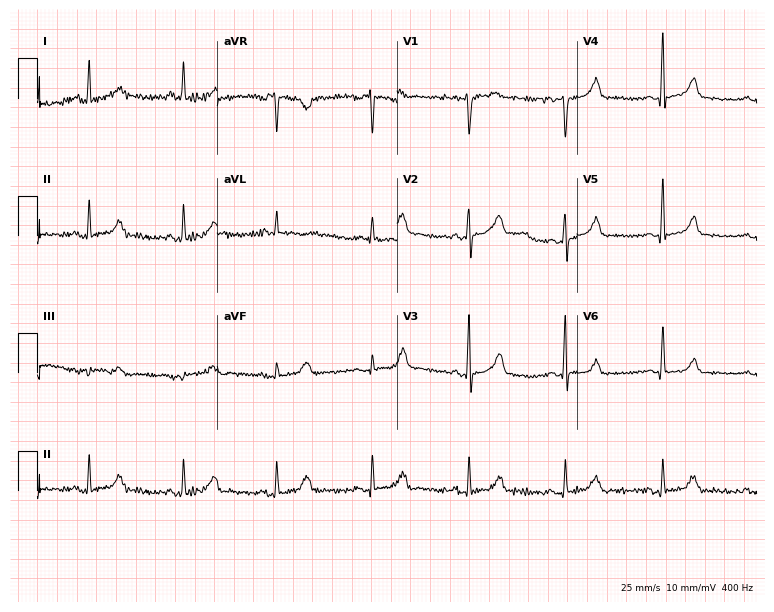
ECG — a 42-year-old female patient. Screened for six findings — first-degree AV block, right bundle branch block (RBBB), left bundle branch block (LBBB), sinus bradycardia, atrial fibrillation (AF), sinus tachycardia — none is recorded. Other findings, if any, are not listed.